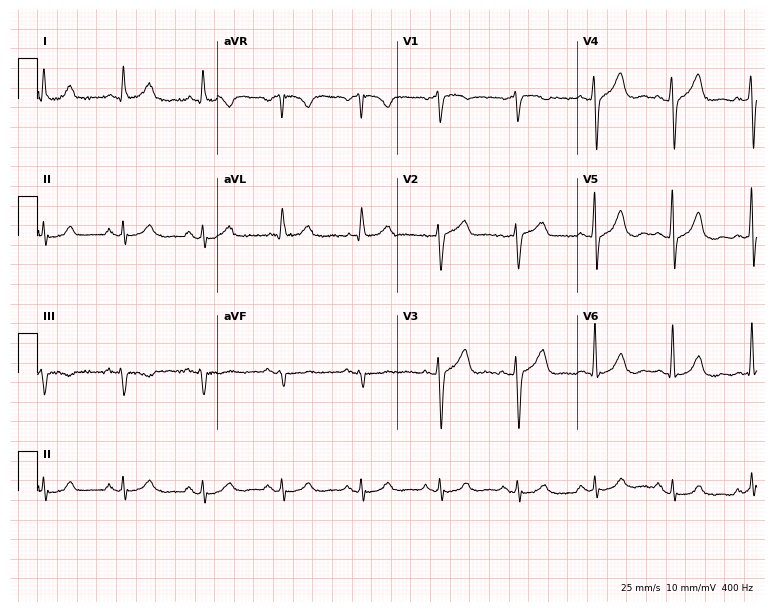
ECG — a male patient, 81 years old. Labelled as a normal ECG.